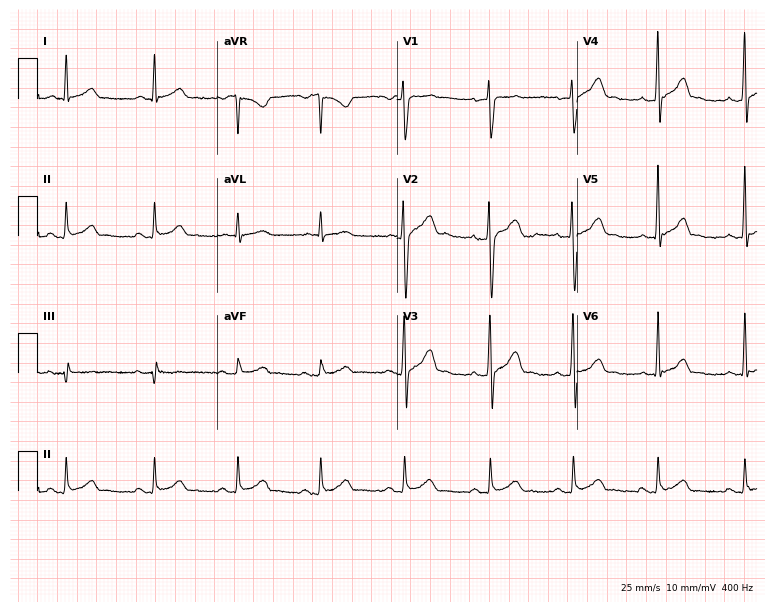
12-lead ECG from a 30-year-old man. Labelled as a normal ECG.